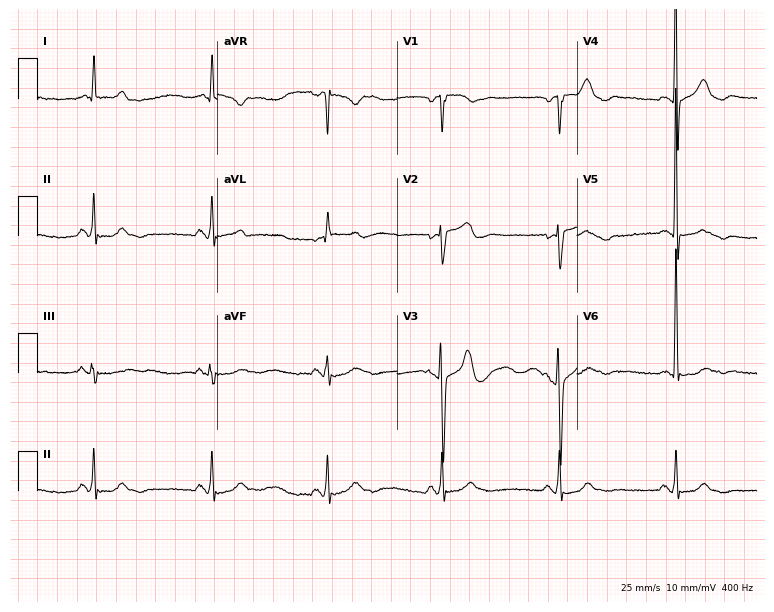
Standard 12-lead ECG recorded from a male, 69 years old (7.3-second recording at 400 Hz). Read as a normal ECG.